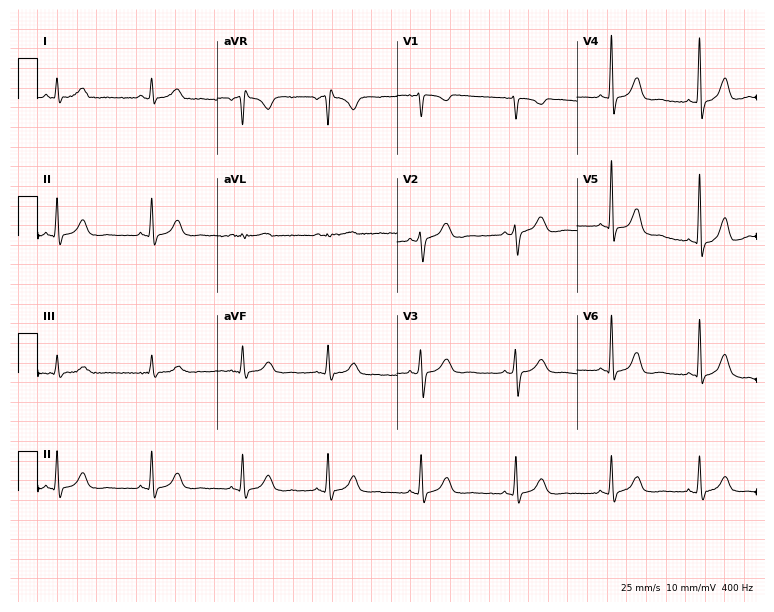
Electrocardiogram (7.3-second recording at 400 Hz), a female patient, 43 years old. Of the six screened findings (first-degree AV block, right bundle branch block, left bundle branch block, sinus bradycardia, atrial fibrillation, sinus tachycardia), none is recorded. Other findings, if any, are not listed.